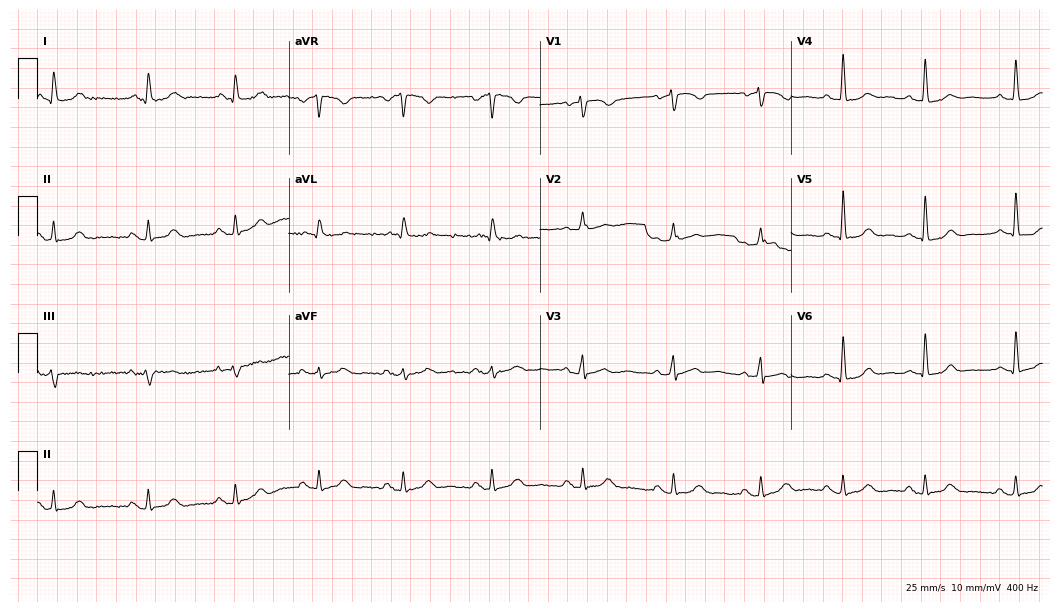
12-lead ECG (10.2-second recording at 400 Hz) from a female, 49 years old. Screened for six findings — first-degree AV block, right bundle branch block (RBBB), left bundle branch block (LBBB), sinus bradycardia, atrial fibrillation (AF), sinus tachycardia — none is recorded. Only these six findings were labelled.